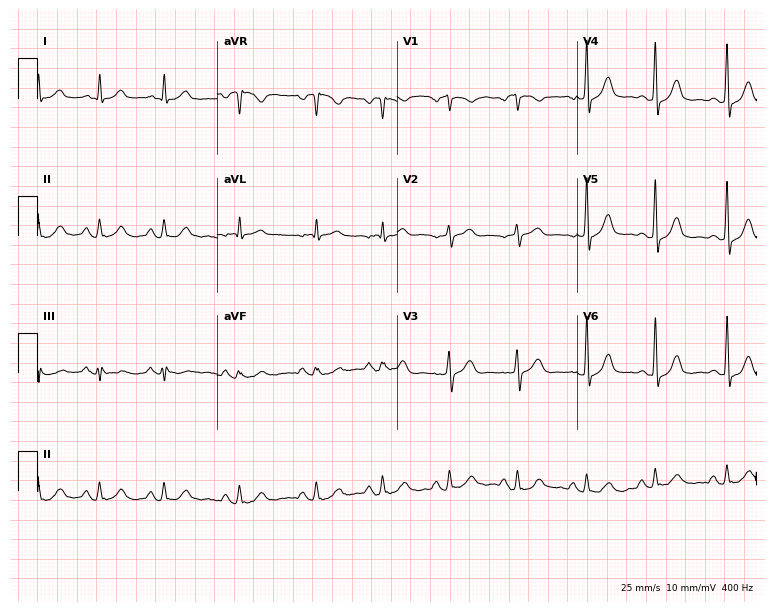
Resting 12-lead electrocardiogram (7.3-second recording at 400 Hz). Patient: a man, 50 years old. None of these six findings is recorded: first-degree AV block, right bundle branch block, left bundle branch block, sinus bradycardia, atrial fibrillation, sinus tachycardia.